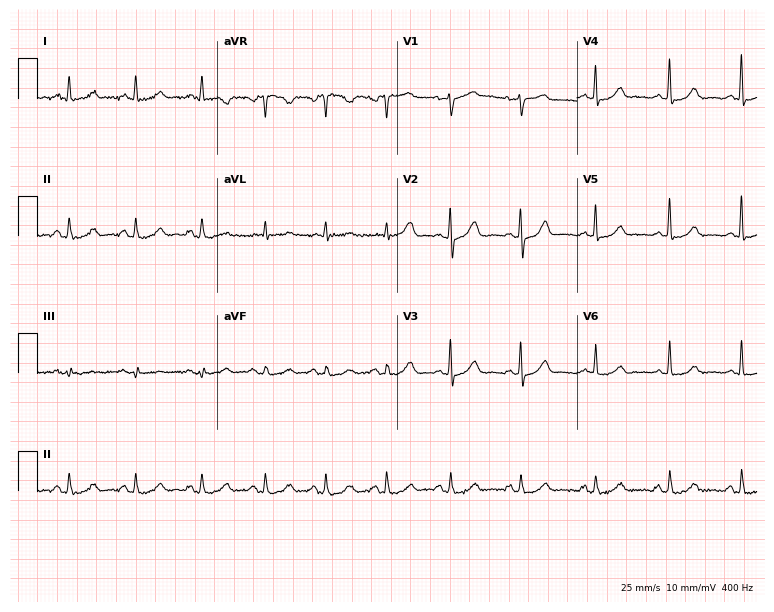
ECG (7.3-second recording at 400 Hz) — a woman, 55 years old. Labelled as a normal ECG.